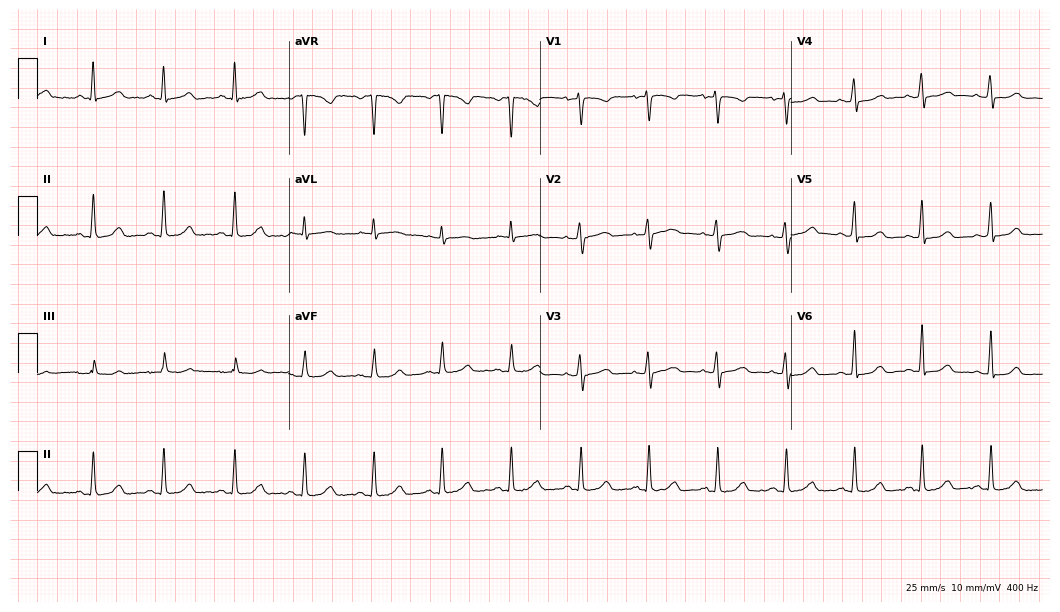
Electrocardiogram, a 44-year-old woman. Overall reading on record: normal ECG.